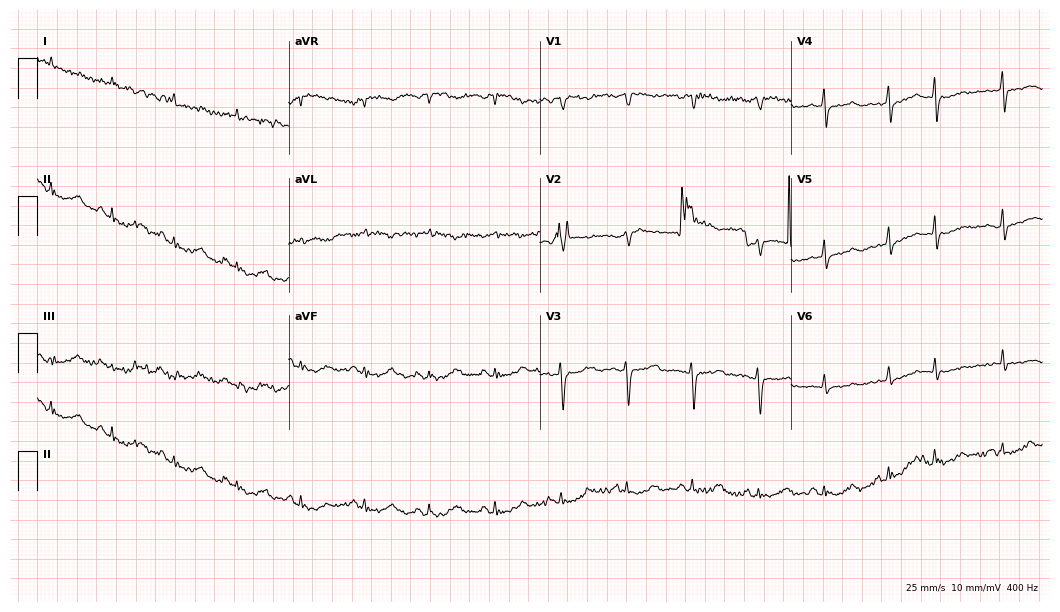
Electrocardiogram (10.2-second recording at 400 Hz), a 64-year-old male patient. Of the six screened findings (first-degree AV block, right bundle branch block, left bundle branch block, sinus bradycardia, atrial fibrillation, sinus tachycardia), none is recorded.